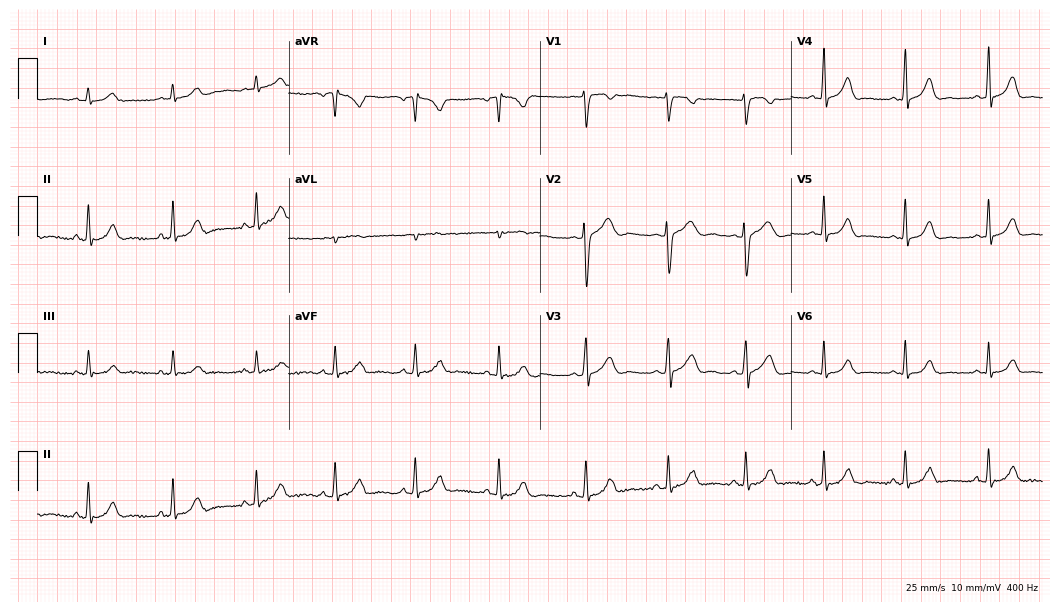
12-lead ECG from a 35-year-old female patient. Recorded interpretation: within normal limits.